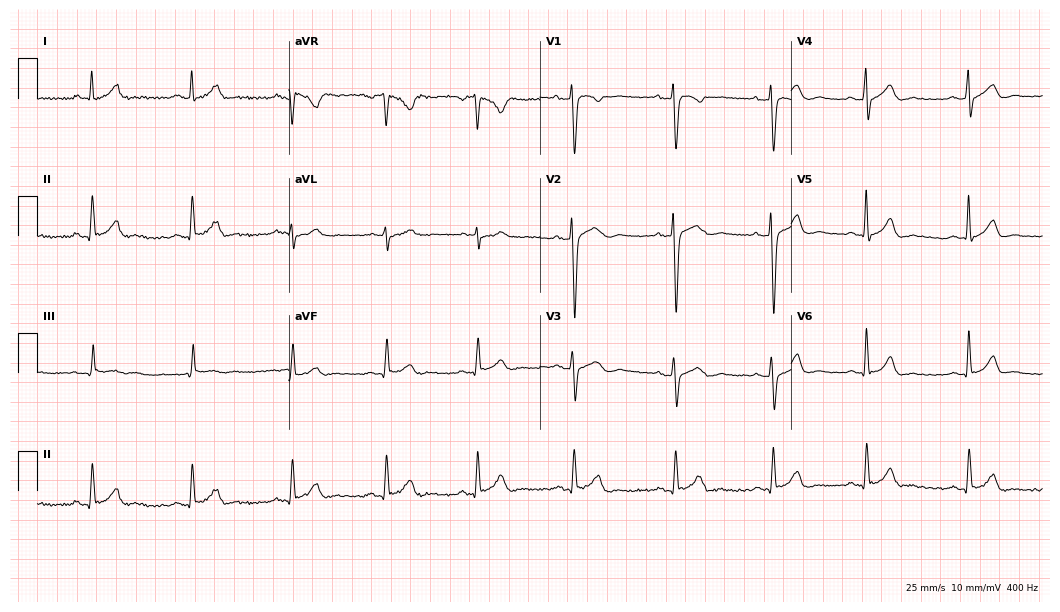
Resting 12-lead electrocardiogram. Patient: a 34-year-old man. Read as a normal ECG.